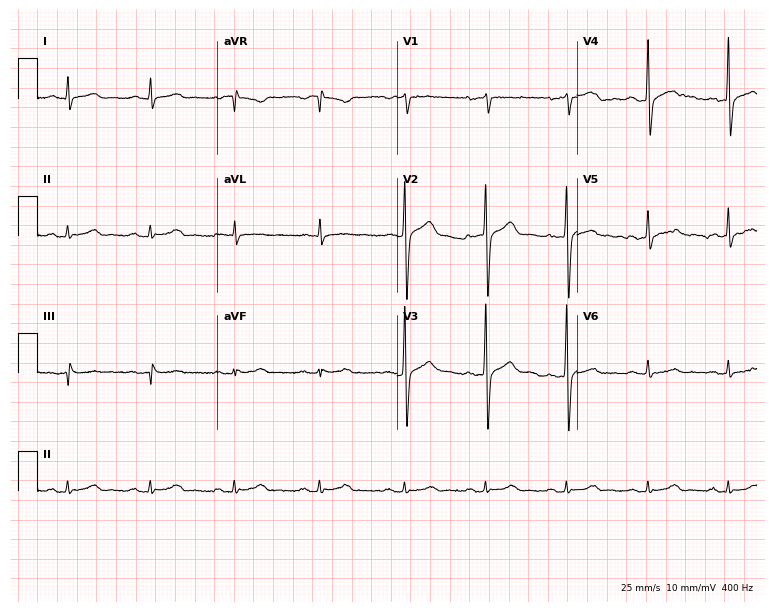
Standard 12-lead ECG recorded from a man, 36 years old. Read as a normal ECG.